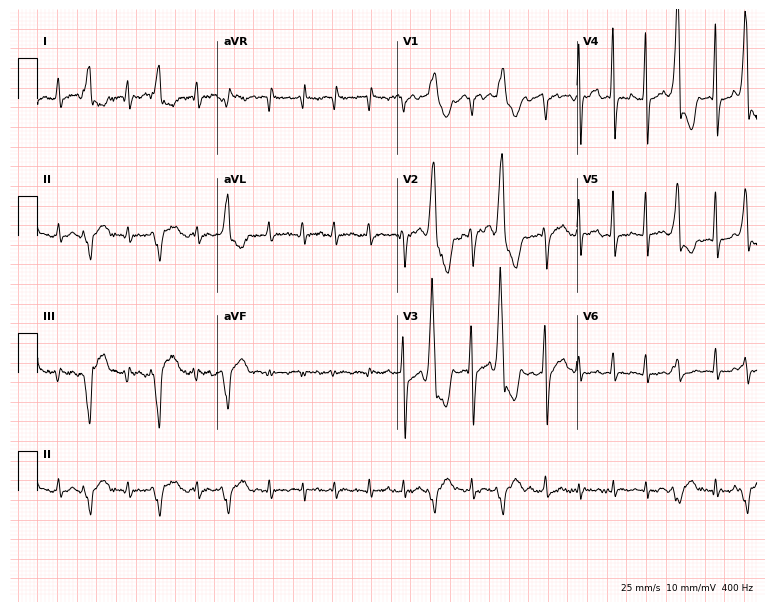
Resting 12-lead electrocardiogram (7.3-second recording at 400 Hz). Patient: a 58-year-old male. The tracing shows atrial fibrillation (AF).